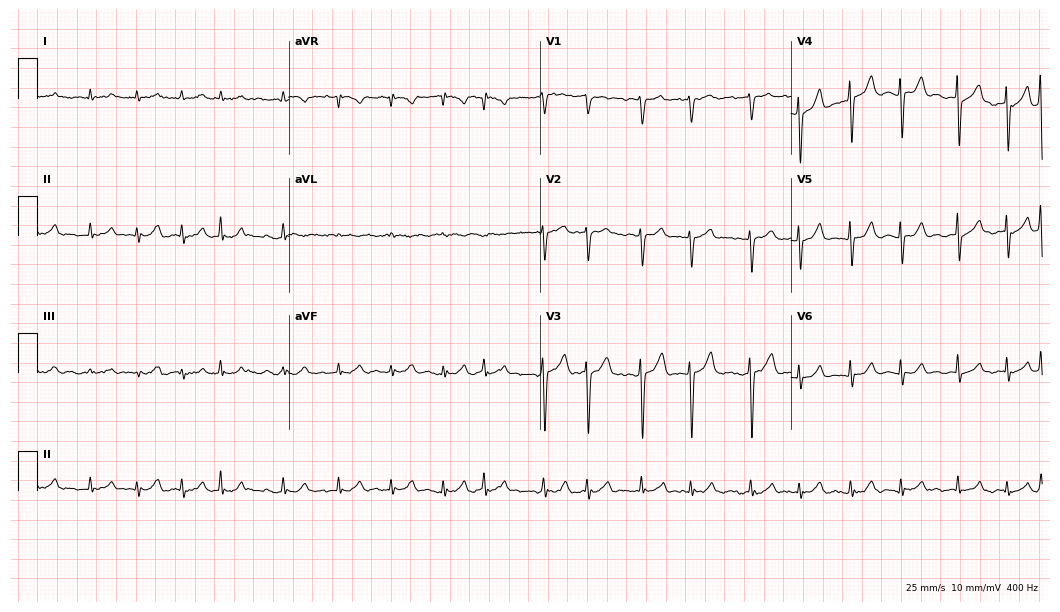
ECG — a 70-year-old male. Findings include atrial fibrillation (AF).